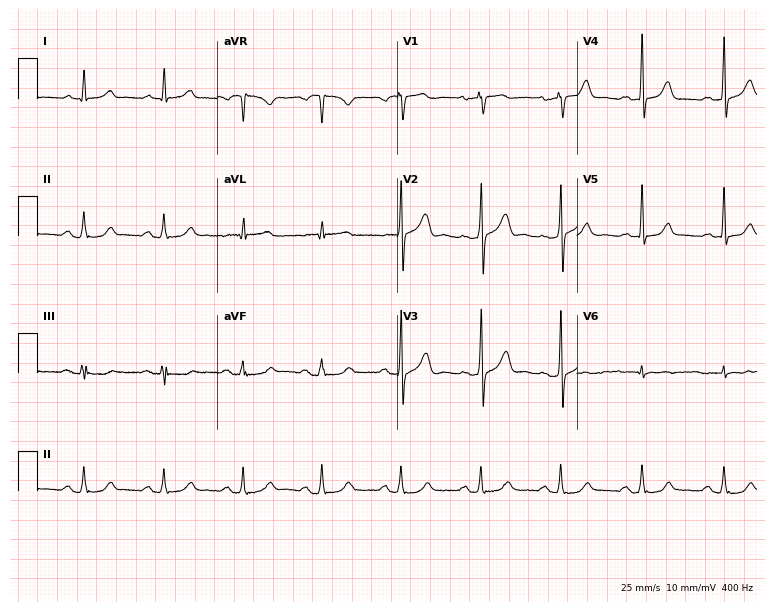
12-lead ECG from a 74-year-old male patient (7.3-second recording at 400 Hz). Recorded interpretation: within normal limits.